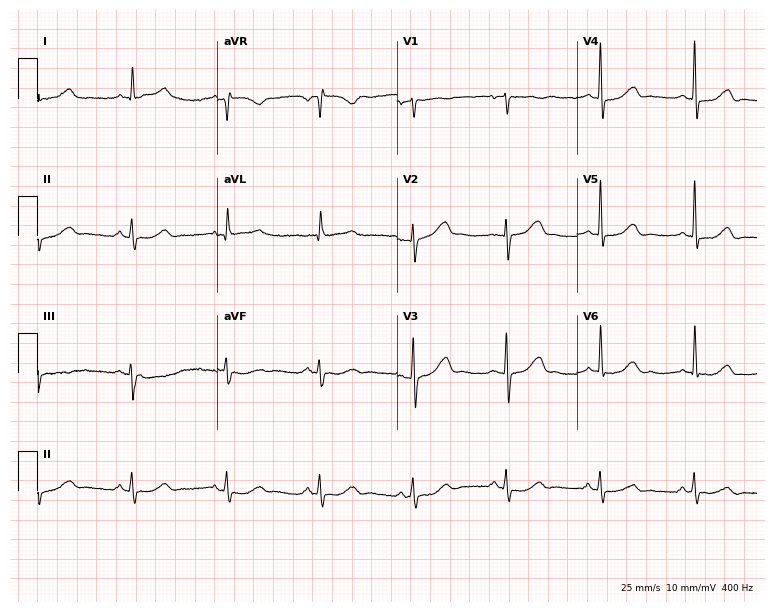
Resting 12-lead electrocardiogram. Patient: a female, 70 years old. Read as a normal ECG.